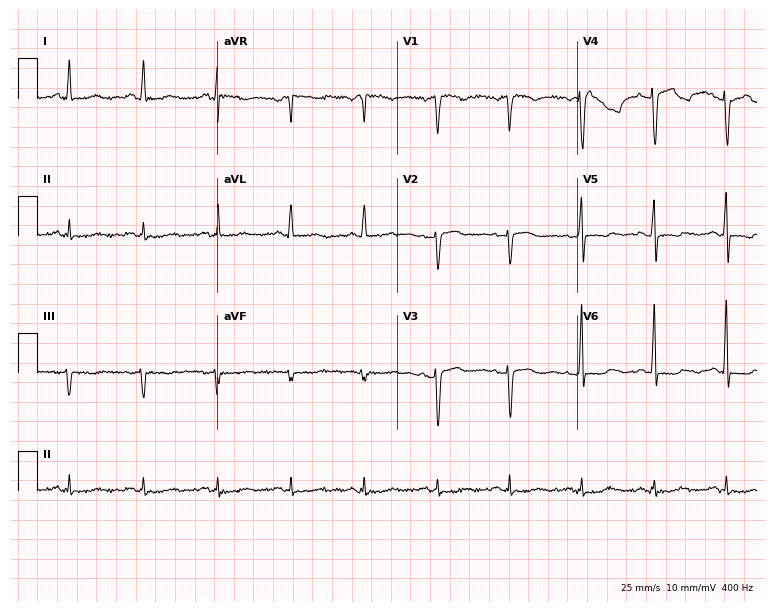
Resting 12-lead electrocardiogram. Patient: a 53-year-old female. None of these six findings is recorded: first-degree AV block, right bundle branch block (RBBB), left bundle branch block (LBBB), sinus bradycardia, atrial fibrillation (AF), sinus tachycardia. Findings outside these six are not listed.